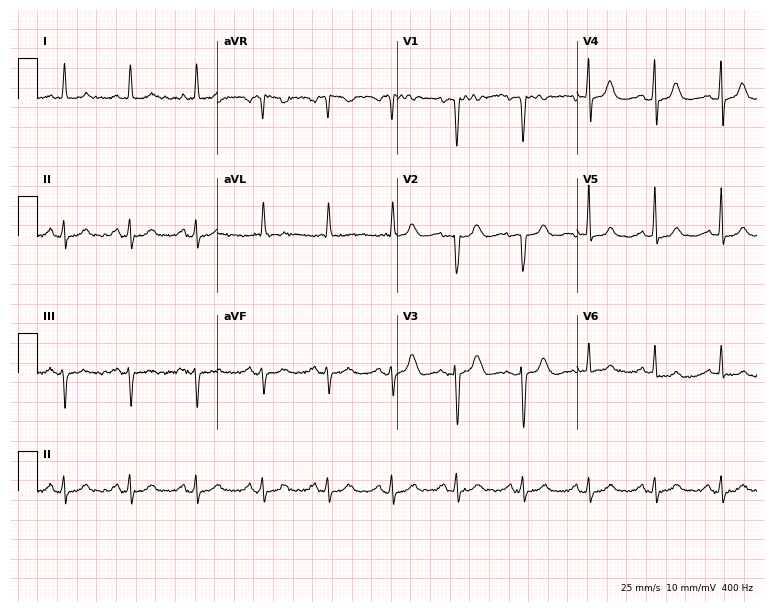
12-lead ECG from a woman, 85 years old. Screened for six findings — first-degree AV block, right bundle branch block, left bundle branch block, sinus bradycardia, atrial fibrillation, sinus tachycardia — none is recorded. Only these six findings were labelled.